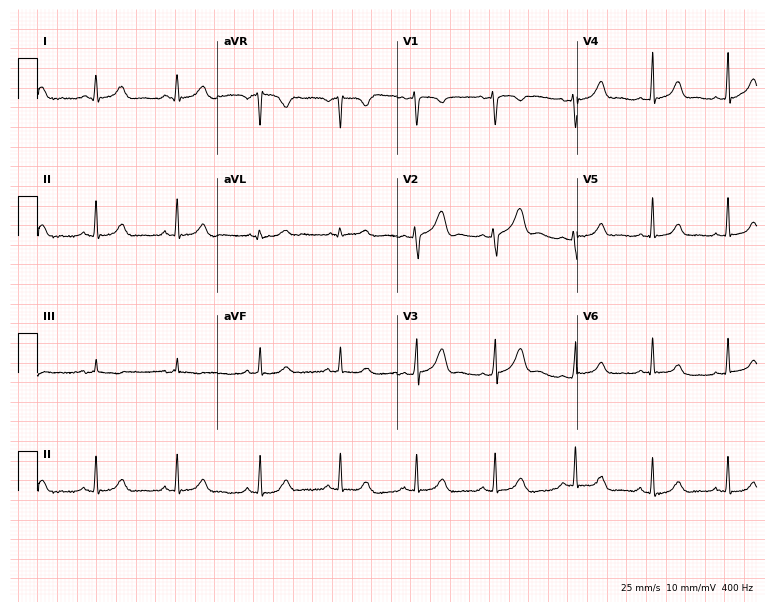
Electrocardiogram (7.3-second recording at 400 Hz), a 21-year-old woman. Overall reading on record: normal ECG.